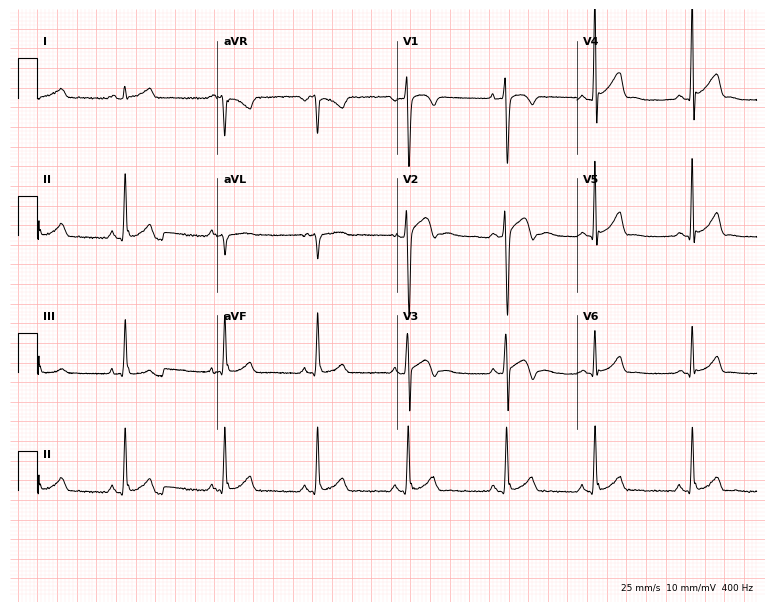
ECG — a 17-year-old male. Labelled as a normal ECG.